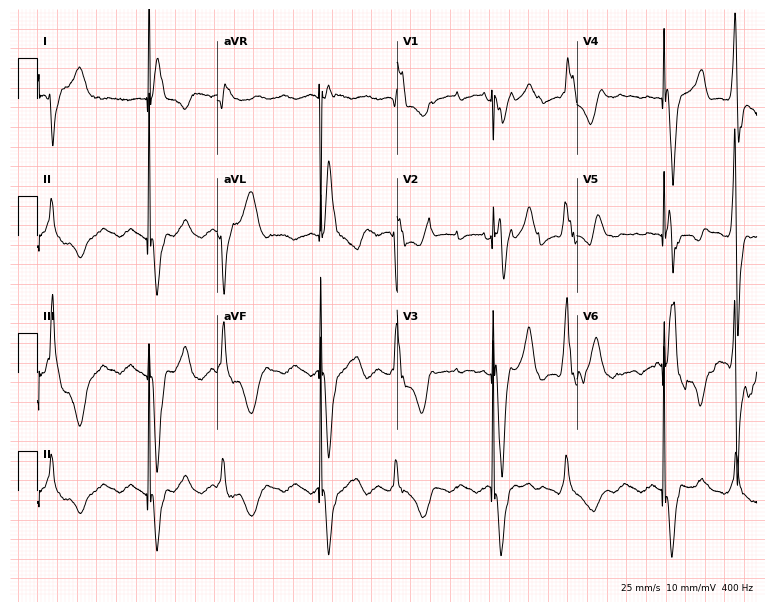
Electrocardiogram, a female, 67 years old. Of the six screened findings (first-degree AV block, right bundle branch block, left bundle branch block, sinus bradycardia, atrial fibrillation, sinus tachycardia), none is recorded. Findings outside these six are not listed.